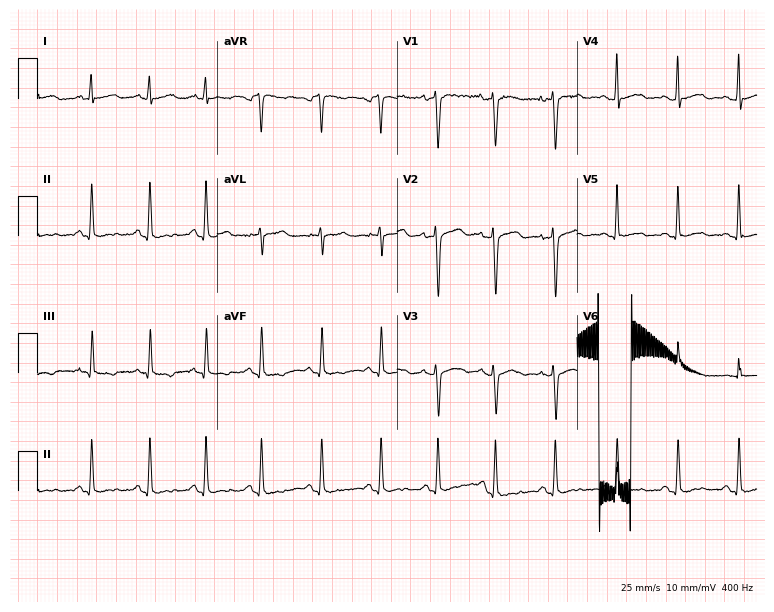
Standard 12-lead ECG recorded from a female patient, 23 years old. The tracing shows sinus tachycardia (a sinus rate of 100 beats per minute or more).